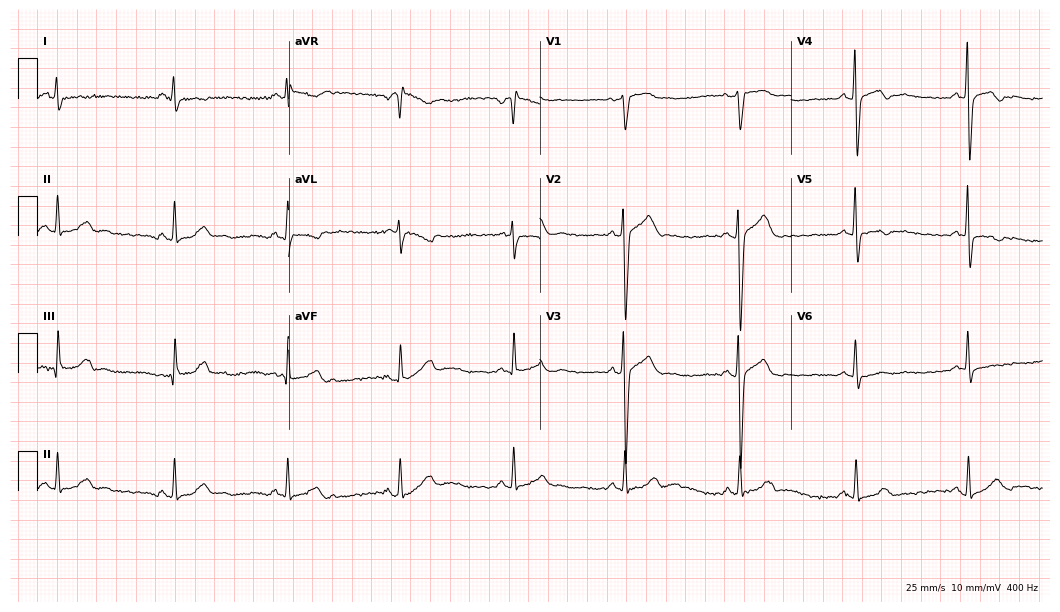
Electrocardiogram, a male patient, 40 years old. Of the six screened findings (first-degree AV block, right bundle branch block, left bundle branch block, sinus bradycardia, atrial fibrillation, sinus tachycardia), none is recorded.